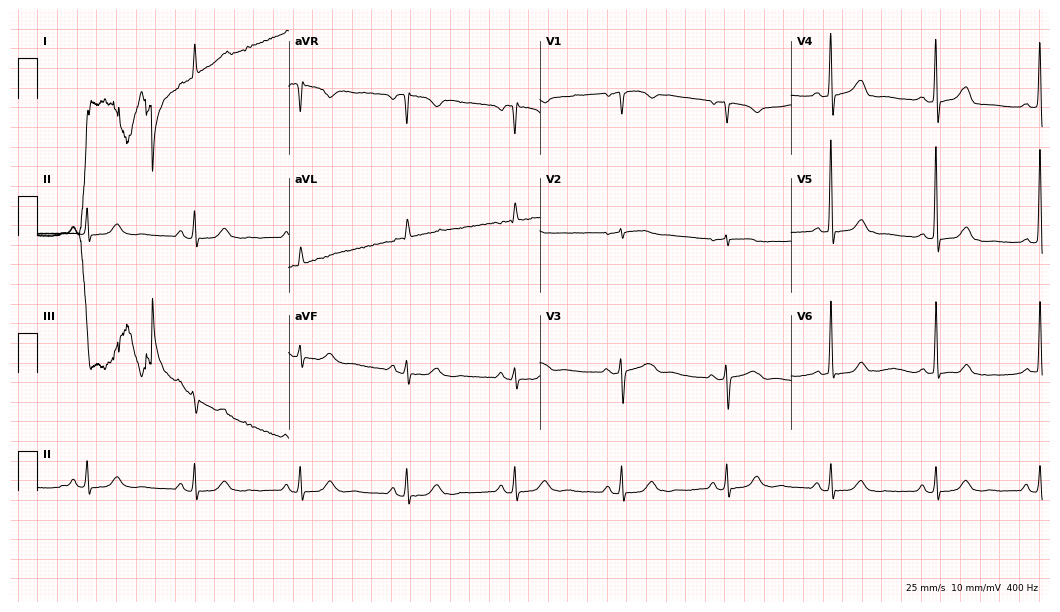
ECG — an 80-year-old female patient. Labelled as a normal ECG.